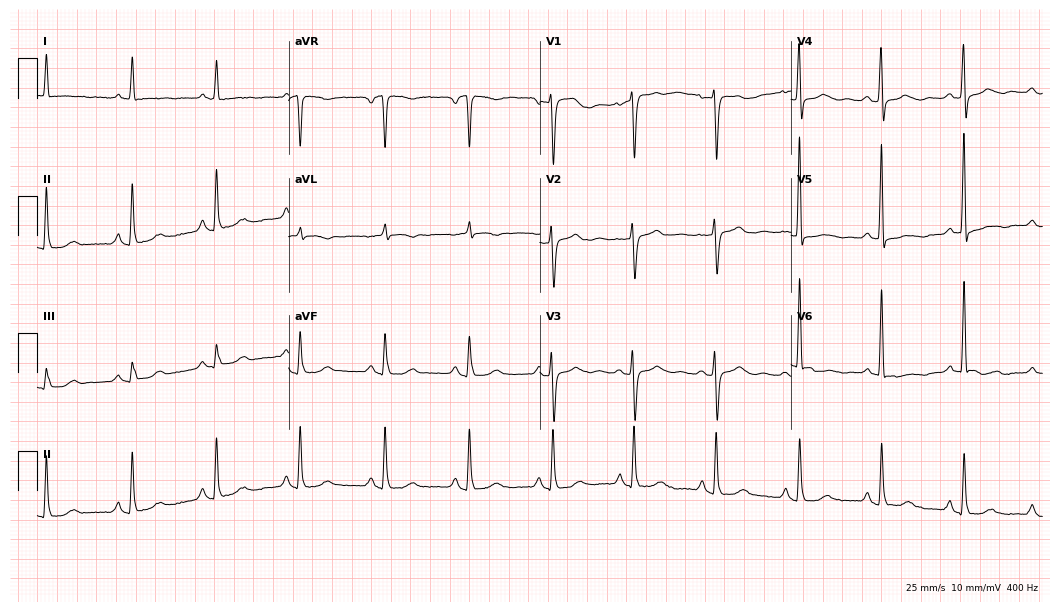
12-lead ECG from a 72-year-old female patient. Labelled as a normal ECG.